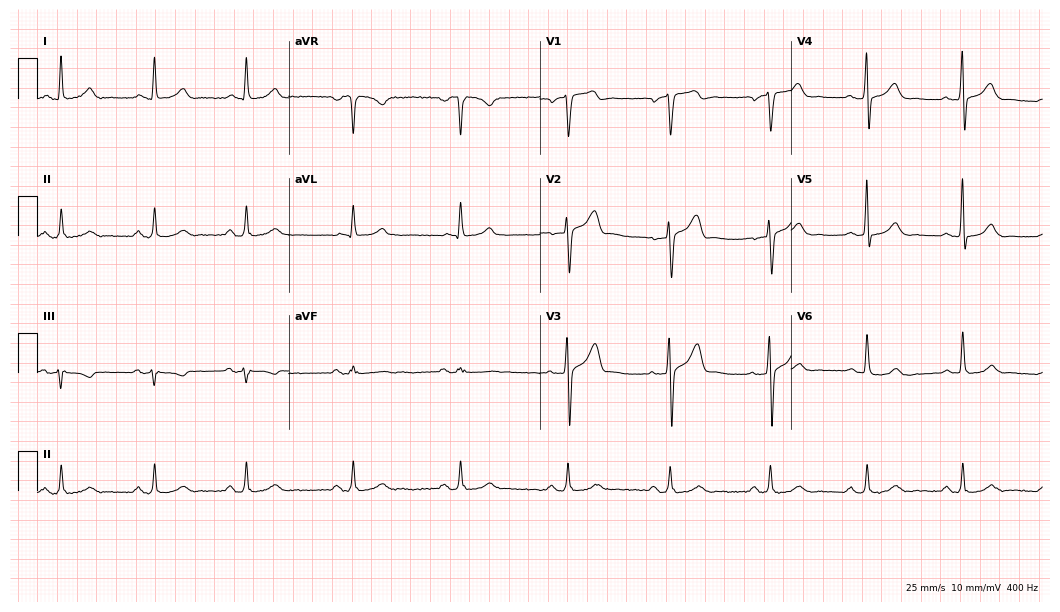
Resting 12-lead electrocardiogram. Patient: a 49-year-old male. Read as a normal ECG.